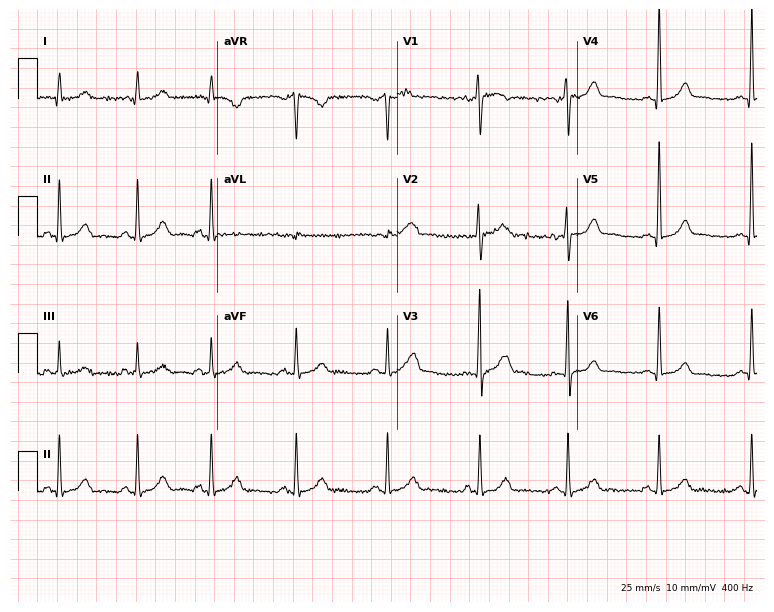
12-lead ECG from a man, 30 years old (7.3-second recording at 400 Hz). Recorded interpretation: within normal limits.